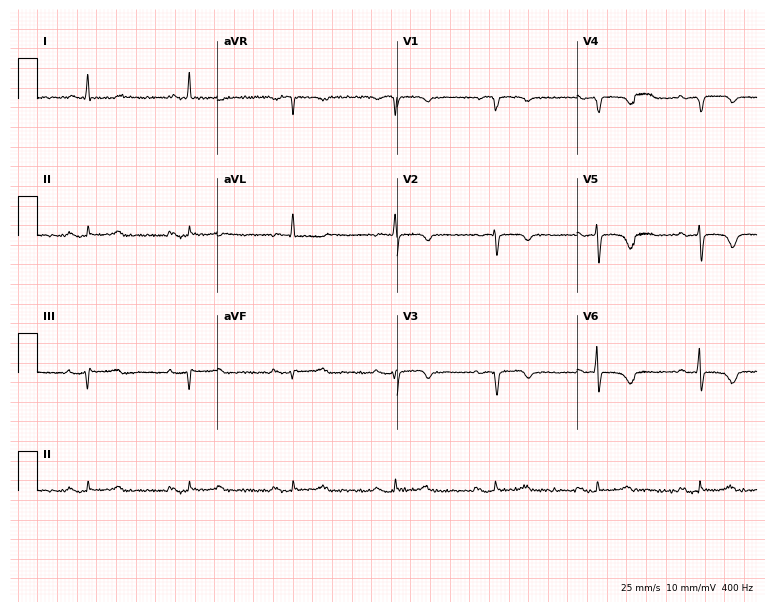
12-lead ECG from a woman, 67 years old. No first-degree AV block, right bundle branch block (RBBB), left bundle branch block (LBBB), sinus bradycardia, atrial fibrillation (AF) or sinus tachycardia recorded for this tracing. Findings outside these six are not listed.